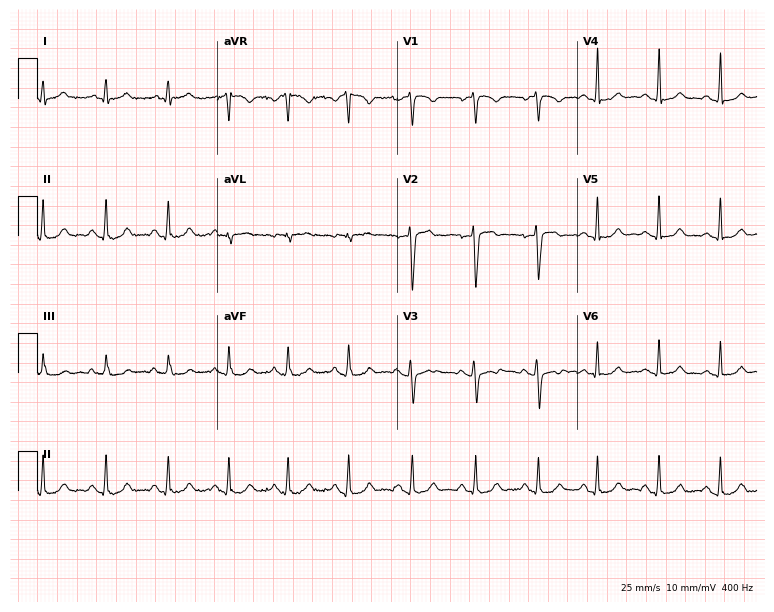
12-lead ECG from an 18-year-old female patient. Labelled as a normal ECG.